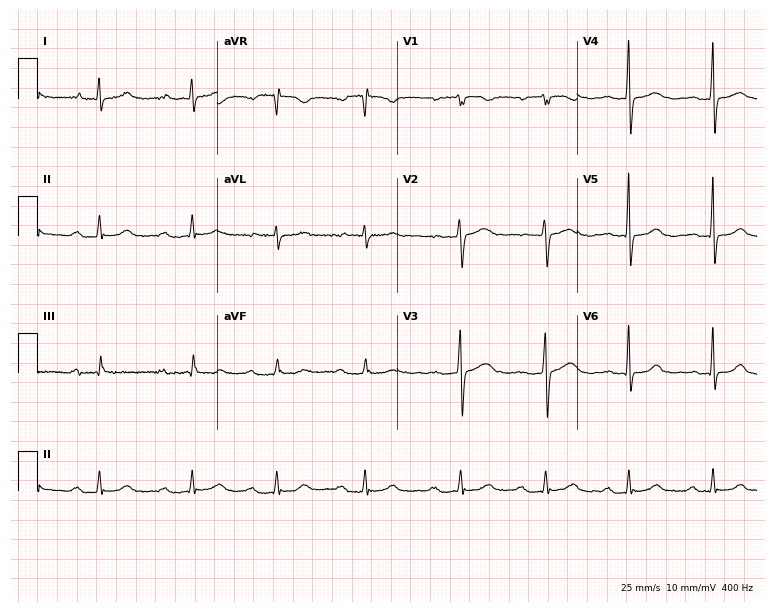
Electrocardiogram, a 49-year-old woman. Interpretation includes first-degree AV block.